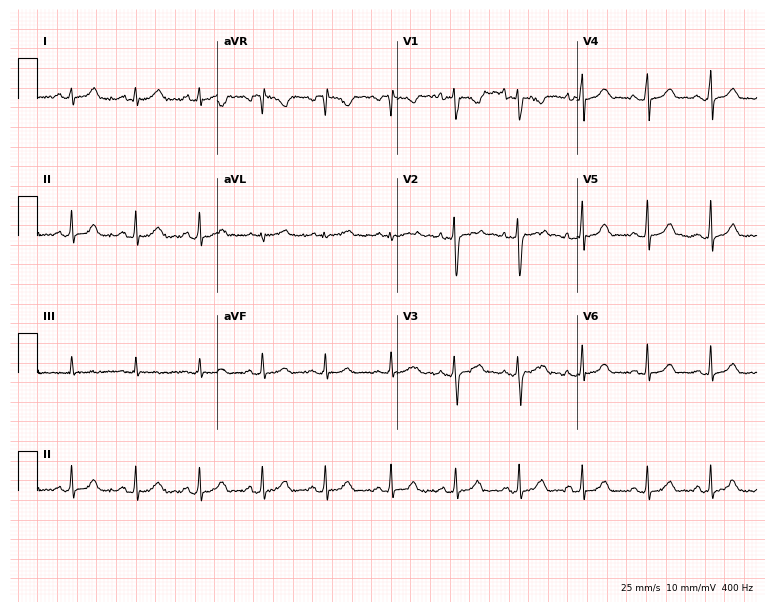
12-lead ECG from a male, 27 years old (7.3-second recording at 400 Hz). No first-degree AV block, right bundle branch block (RBBB), left bundle branch block (LBBB), sinus bradycardia, atrial fibrillation (AF) or sinus tachycardia recorded for this tracing. Findings outside these six are not listed.